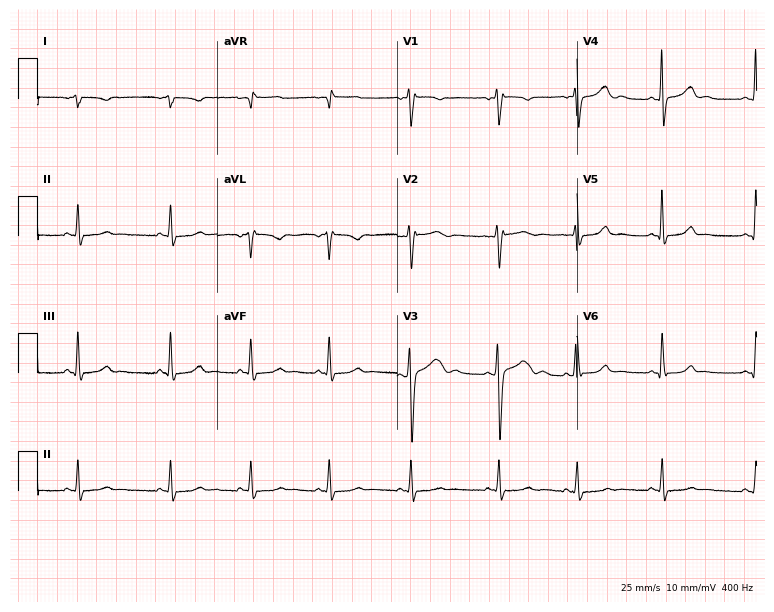
12-lead ECG from a female patient, 20 years old (7.3-second recording at 400 Hz). No first-degree AV block, right bundle branch block, left bundle branch block, sinus bradycardia, atrial fibrillation or sinus tachycardia recorded for this tracing.